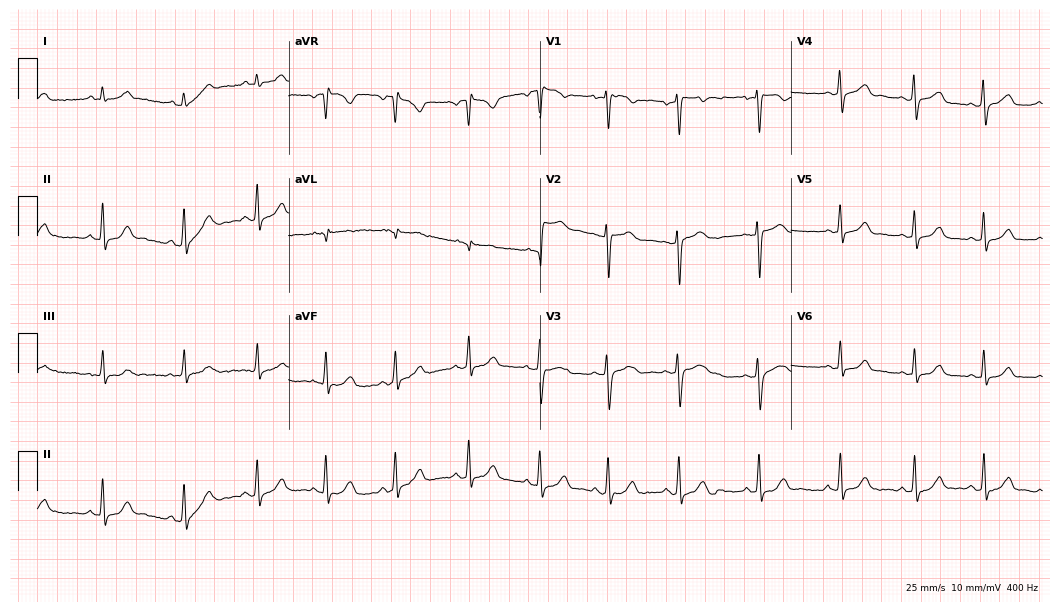
ECG — a 30-year-old female patient. Labelled as a normal ECG.